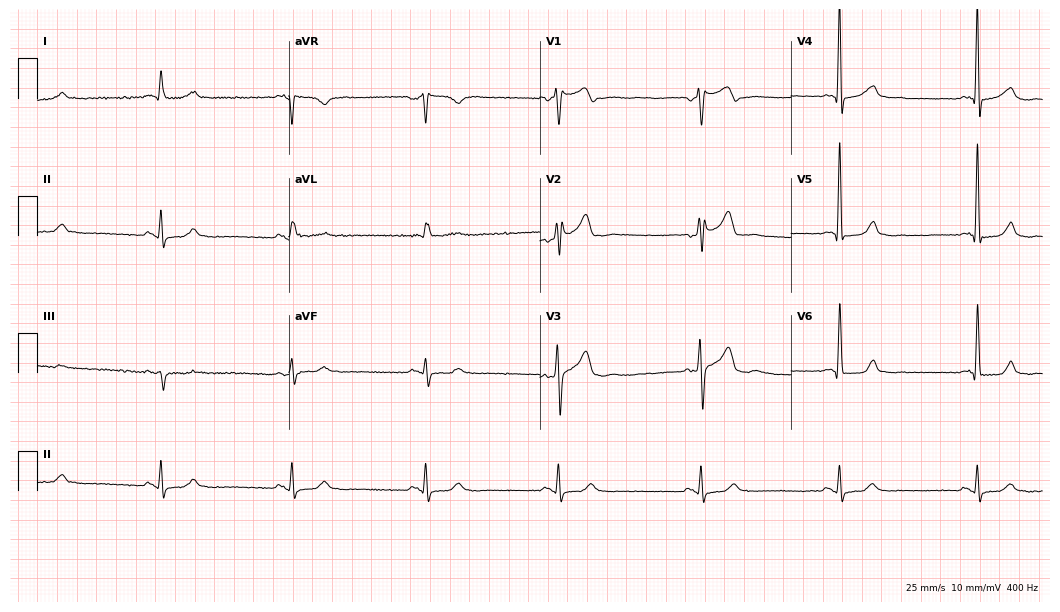
Standard 12-lead ECG recorded from a male, 75 years old (10.2-second recording at 400 Hz). The tracing shows sinus bradycardia (a sinus rate of 50 beats per minute or less).